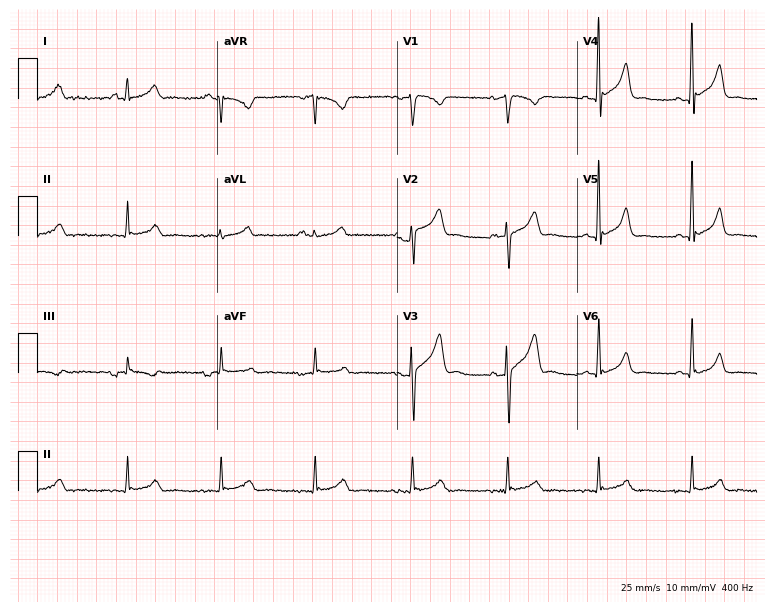
12-lead ECG (7.3-second recording at 400 Hz) from a 34-year-old male. Screened for six findings — first-degree AV block, right bundle branch block, left bundle branch block, sinus bradycardia, atrial fibrillation, sinus tachycardia — none is recorded. Findings outside these six are not listed.